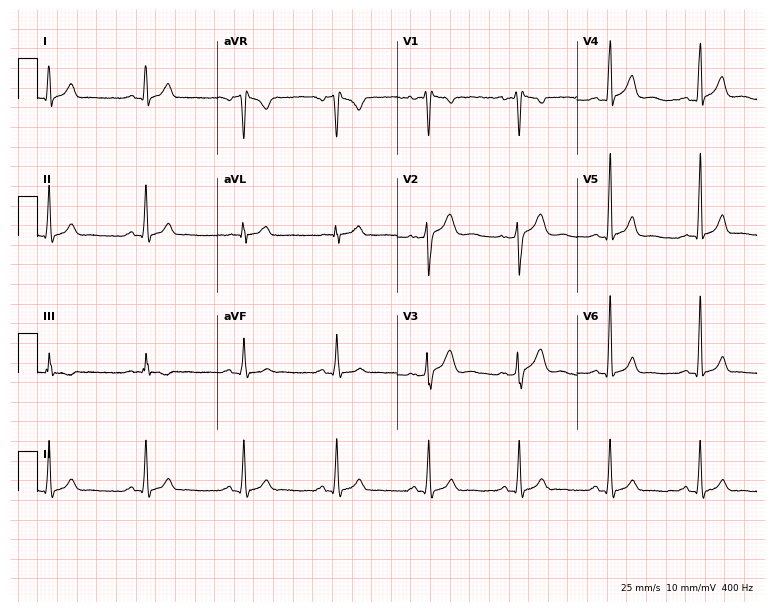
Standard 12-lead ECG recorded from a male, 25 years old (7.3-second recording at 400 Hz). None of these six findings is recorded: first-degree AV block, right bundle branch block, left bundle branch block, sinus bradycardia, atrial fibrillation, sinus tachycardia.